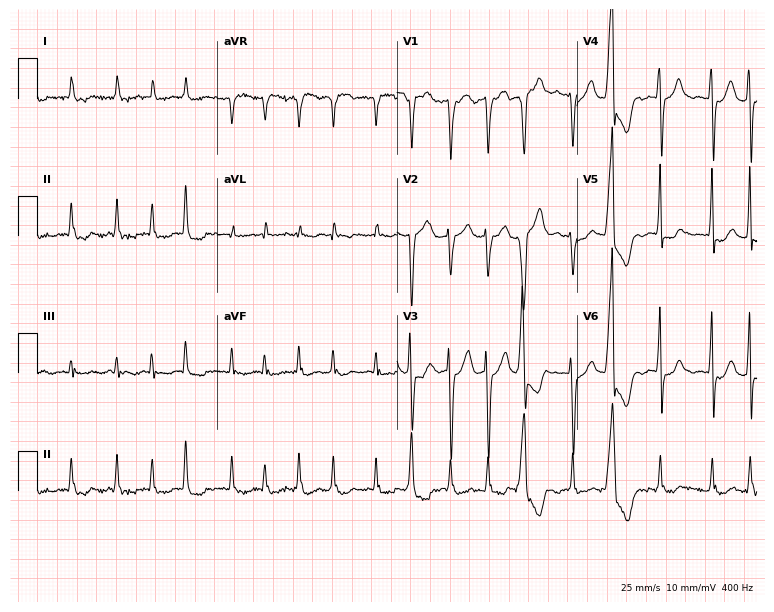
Resting 12-lead electrocardiogram (7.3-second recording at 400 Hz). Patient: a male, 63 years old. The tracing shows atrial fibrillation.